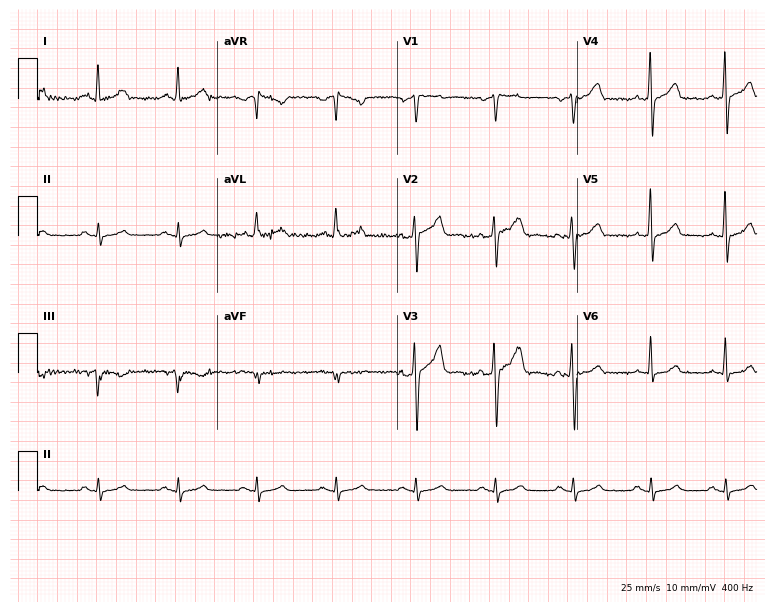
12-lead ECG from a 41-year-old male patient. Recorded interpretation: within normal limits.